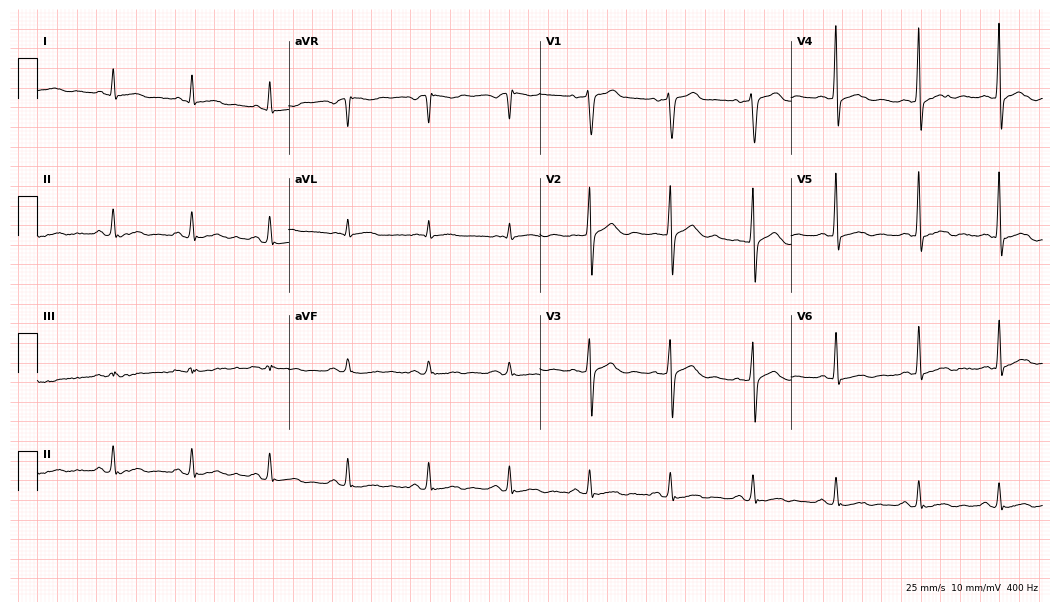
12-lead ECG from a 57-year-old man. No first-degree AV block, right bundle branch block, left bundle branch block, sinus bradycardia, atrial fibrillation or sinus tachycardia recorded for this tracing. Findings outside these six are not listed.